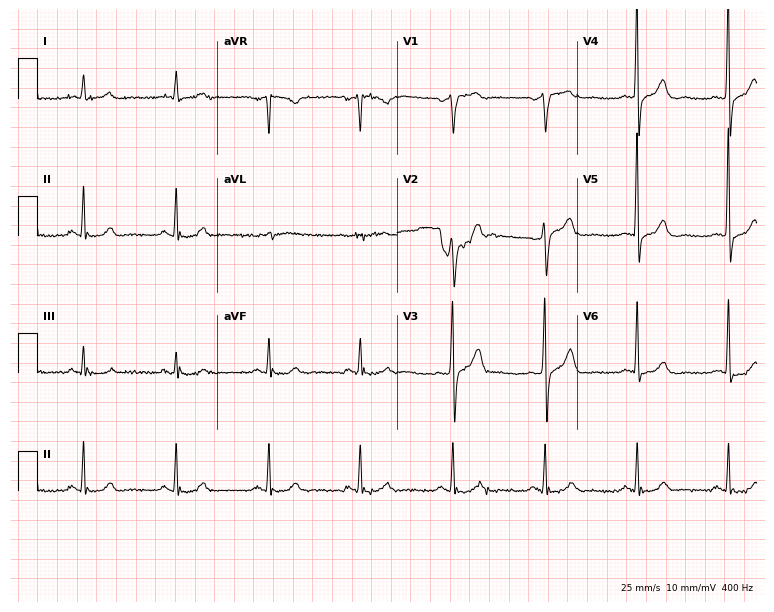
Standard 12-lead ECG recorded from a 67-year-old male (7.3-second recording at 400 Hz). Read as a normal ECG.